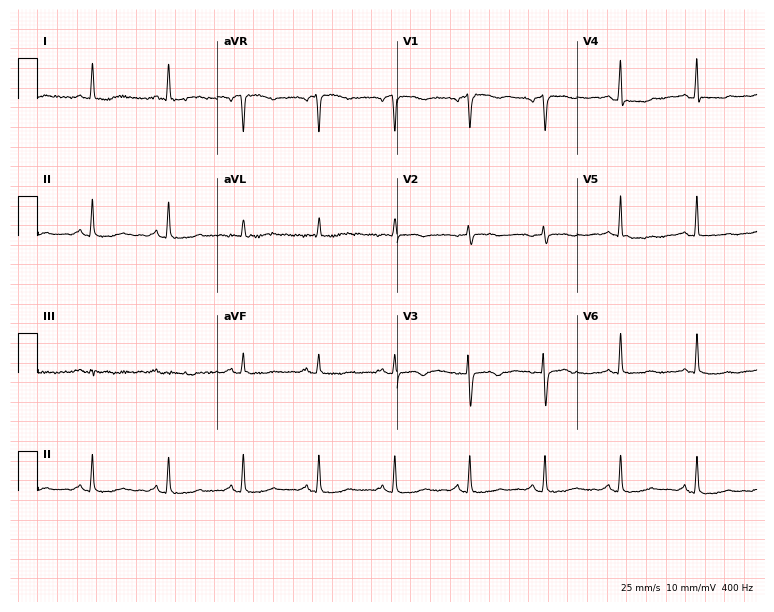
Resting 12-lead electrocardiogram (7.3-second recording at 400 Hz). Patient: a 52-year-old woman. None of these six findings is recorded: first-degree AV block, right bundle branch block, left bundle branch block, sinus bradycardia, atrial fibrillation, sinus tachycardia. Findings outside these six are not listed.